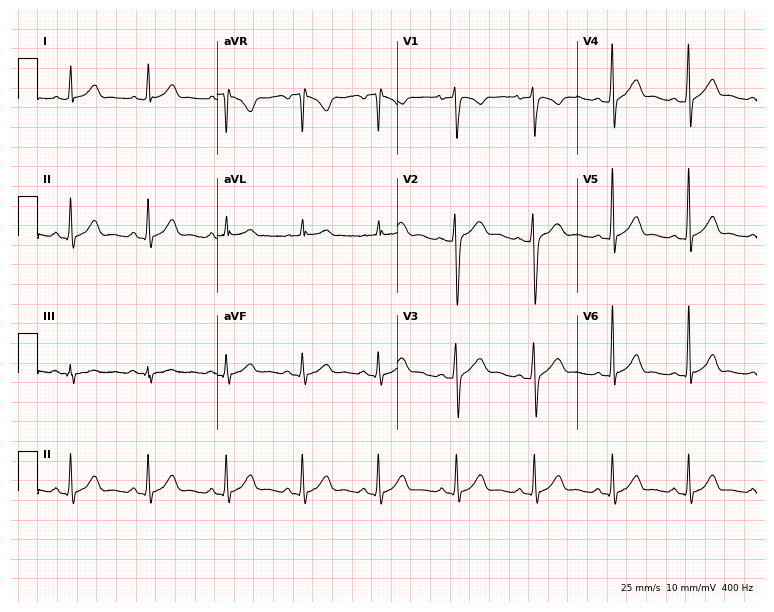
ECG — a male patient, 23 years old. Labelled as a normal ECG.